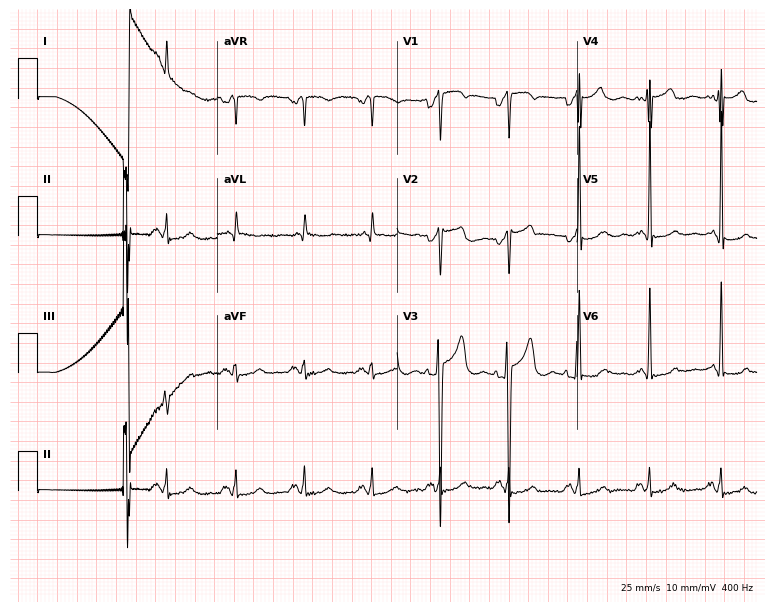
Resting 12-lead electrocardiogram (7.3-second recording at 400 Hz). Patient: a 68-year-old male. None of these six findings is recorded: first-degree AV block, right bundle branch block, left bundle branch block, sinus bradycardia, atrial fibrillation, sinus tachycardia.